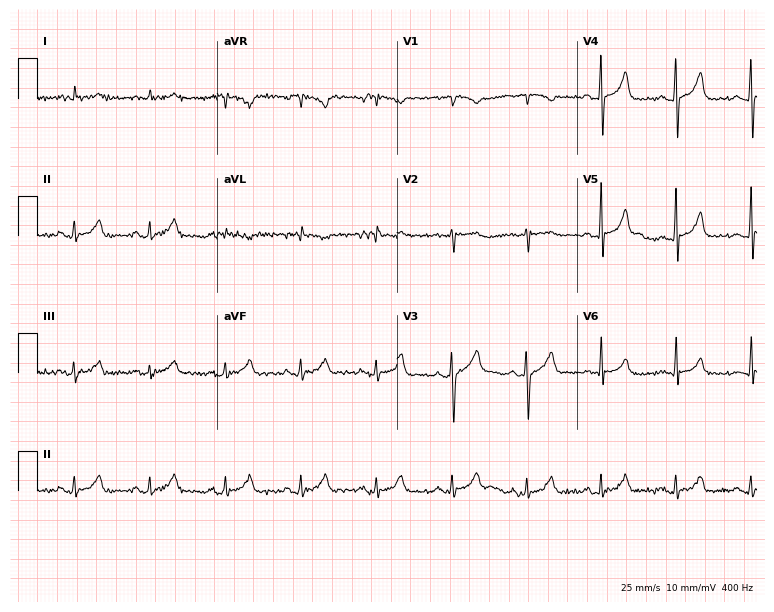
12-lead ECG from a man, 68 years old. Labelled as a normal ECG.